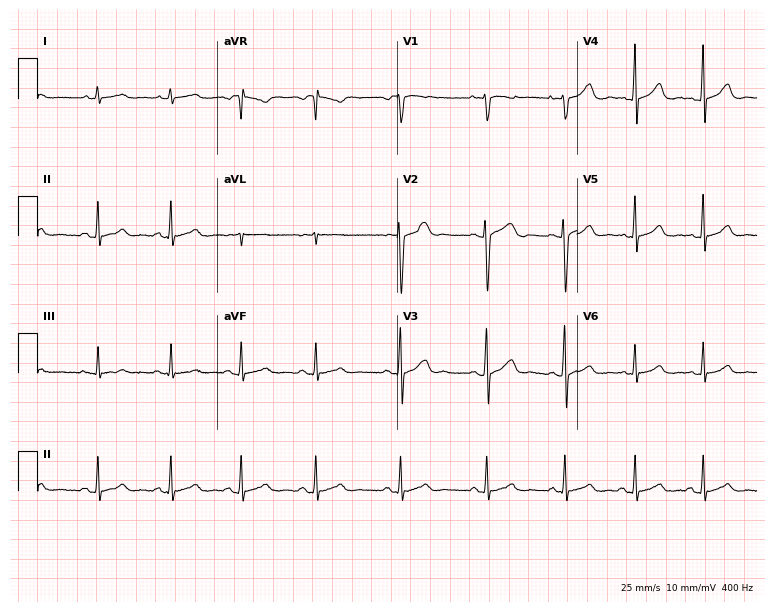
12-lead ECG from a woman, 27 years old. Screened for six findings — first-degree AV block, right bundle branch block, left bundle branch block, sinus bradycardia, atrial fibrillation, sinus tachycardia — none is recorded.